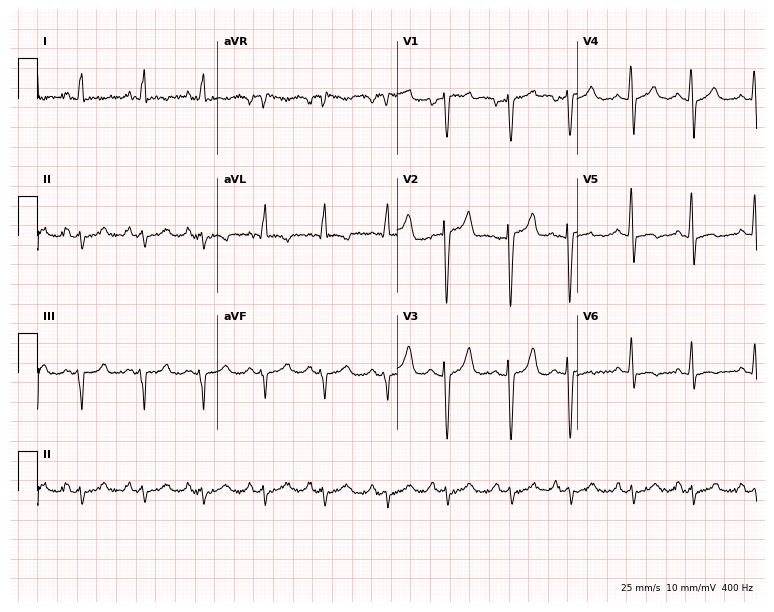
ECG — a male, 41 years old. Screened for six findings — first-degree AV block, right bundle branch block, left bundle branch block, sinus bradycardia, atrial fibrillation, sinus tachycardia — none is recorded.